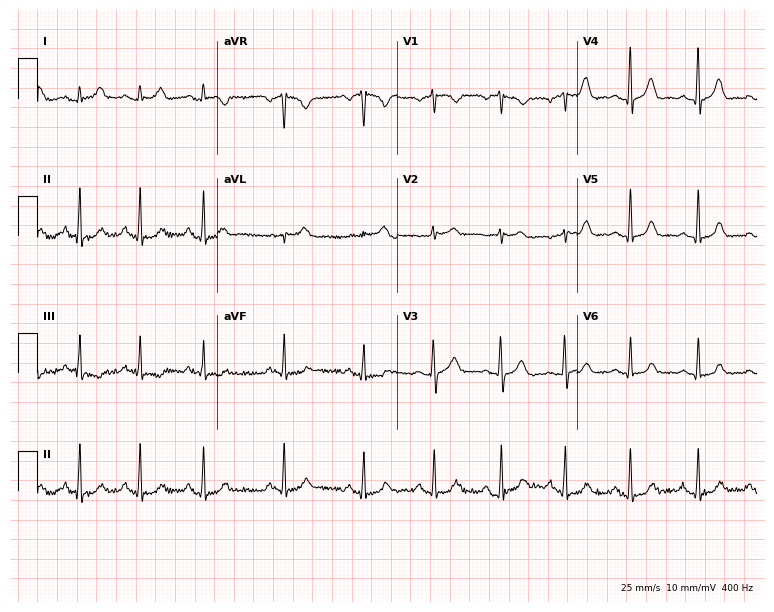
Electrocardiogram (7.3-second recording at 400 Hz), a woman, 57 years old. Of the six screened findings (first-degree AV block, right bundle branch block (RBBB), left bundle branch block (LBBB), sinus bradycardia, atrial fibrillation (AF), sinus tachycardia), none is recorded.